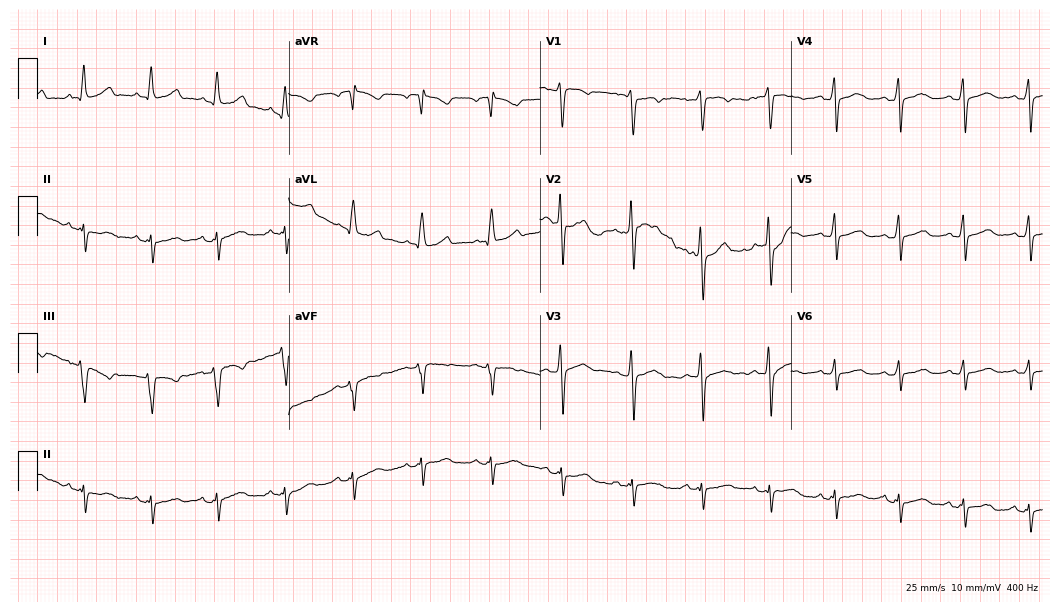
ECG (10.2-second recording at 400 Hz) — a 65-year-old female patient. Screened for six findings — first-degree AV block, right bundle branch block, left bundle branch block, sinus bradycardia, atrial fibrillation, sinus tachycardia — none is recorded.